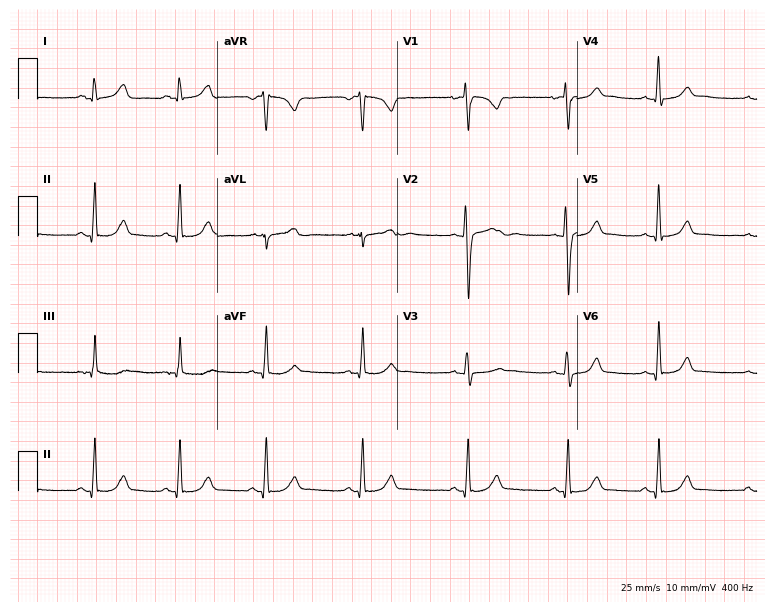
12-lead ECG from a female patient, 20 years old. Labelled as a normal ECG.